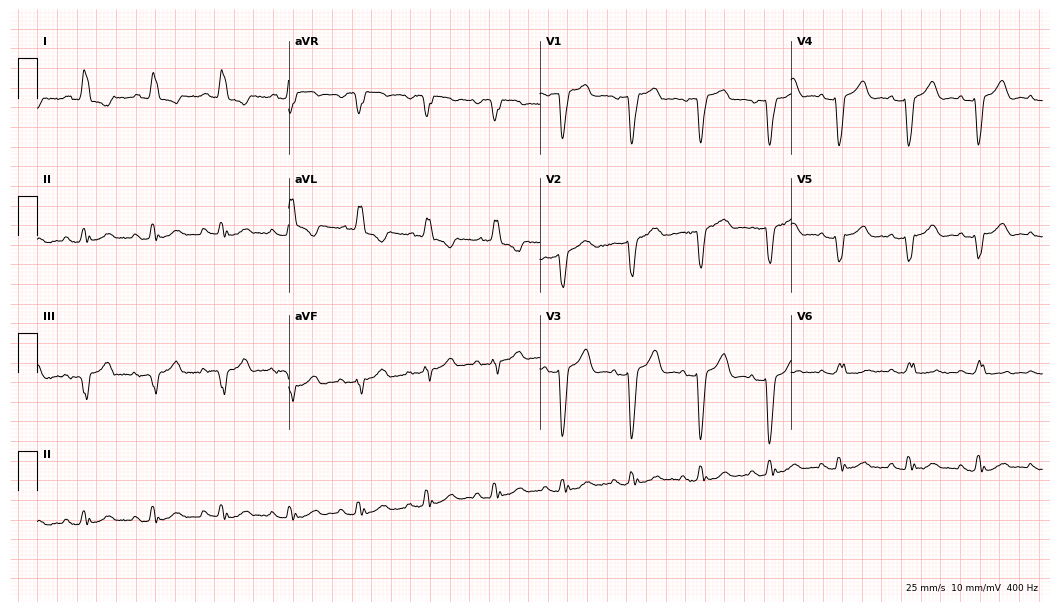
Electrocardiogram (10.2-second recording at 400 Hz), a 69-year-old female. Interpretation includes left bundle branch block (LBBB).